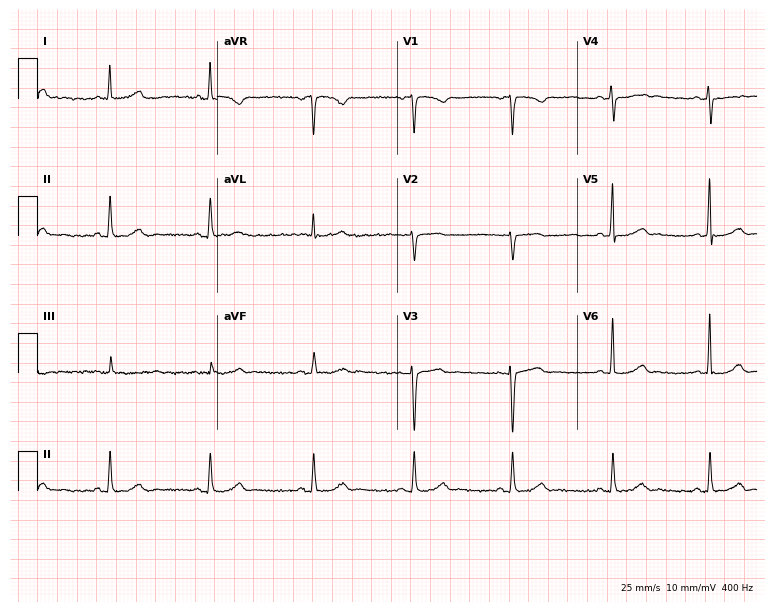
Standard 12-lead ECG recorded from a woman, 35 years old. None of these six findings is recorded: first-degree AV block, right bundle branch block, left bundle branch block, sinus bradycardia, atrial fibrillation, sinus tachycardia.